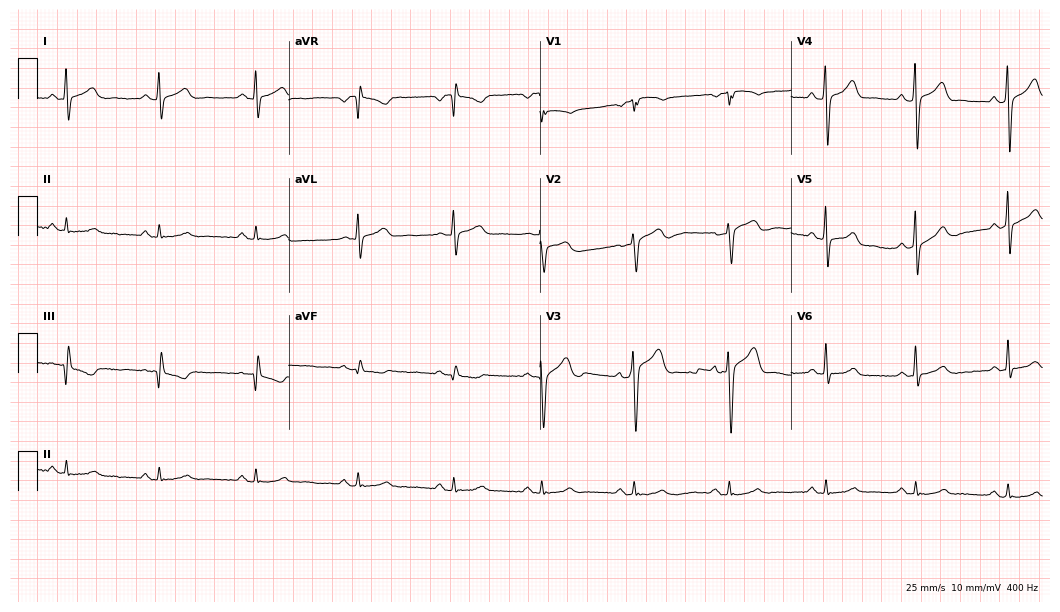
Resting 12-lead electrocardiogram (10.2-second recording at 400 Hz). Patient: a 37-year-old male. Read as a normal ECG.